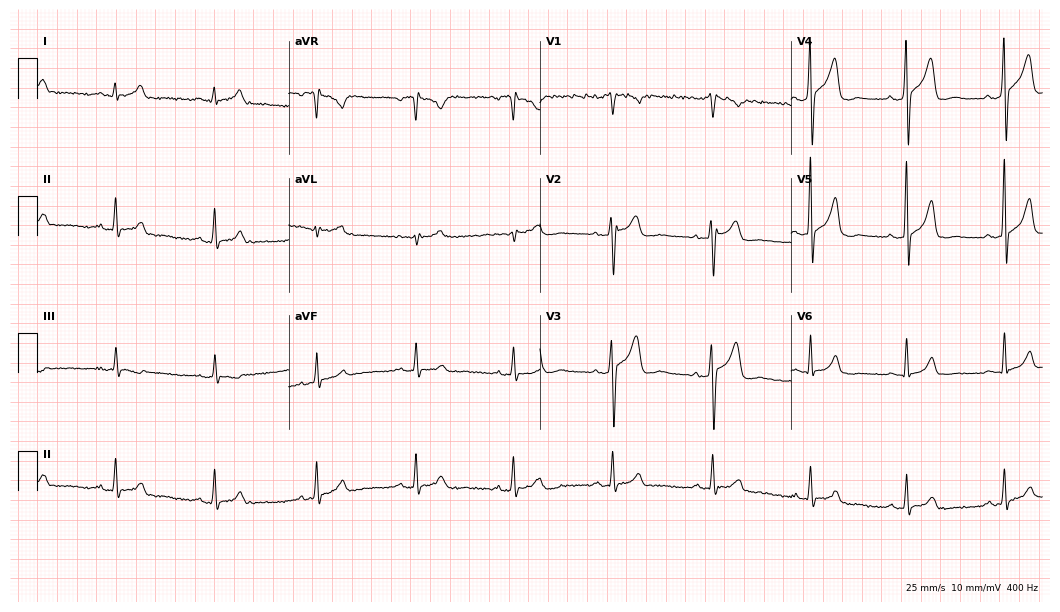
ECG (10.2-second recording at 400 Hz) — a male, 43 years old. Screened for six findings — first-degree AV block, right bundle branch block (RBBB), left bundle branch block (LBBB), sinus bradycardia, atrial fibrillation (AF), sinus tachycardia — none is recorded.